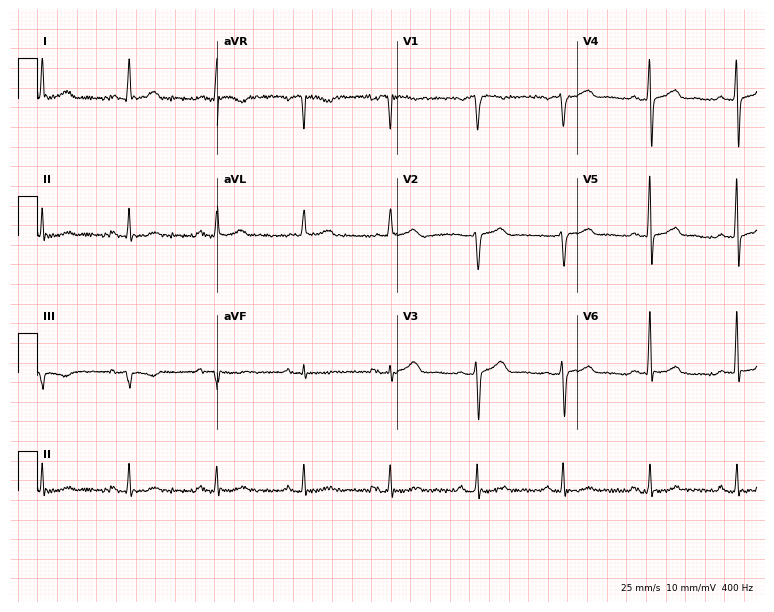
Resting 12-lead electrocardiogram. Patient: a male, 62 years old. Read as a normal ECG.